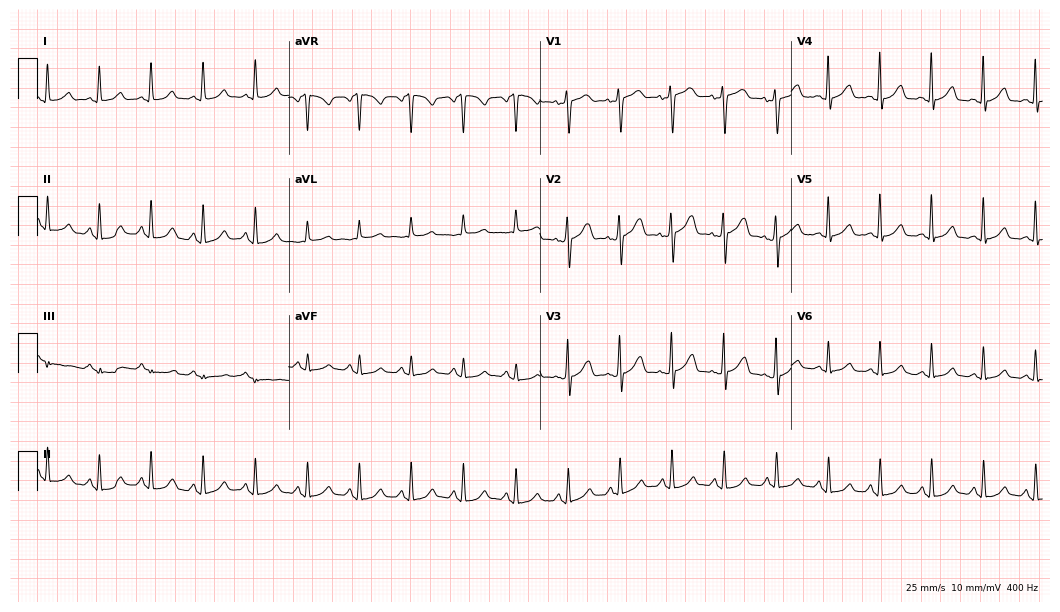
Standard 12-lead ECG recorded from a 48-year-old female patient. The tracing shows sinus tachycardia (a sinus rate of 100 beats per minute or more).